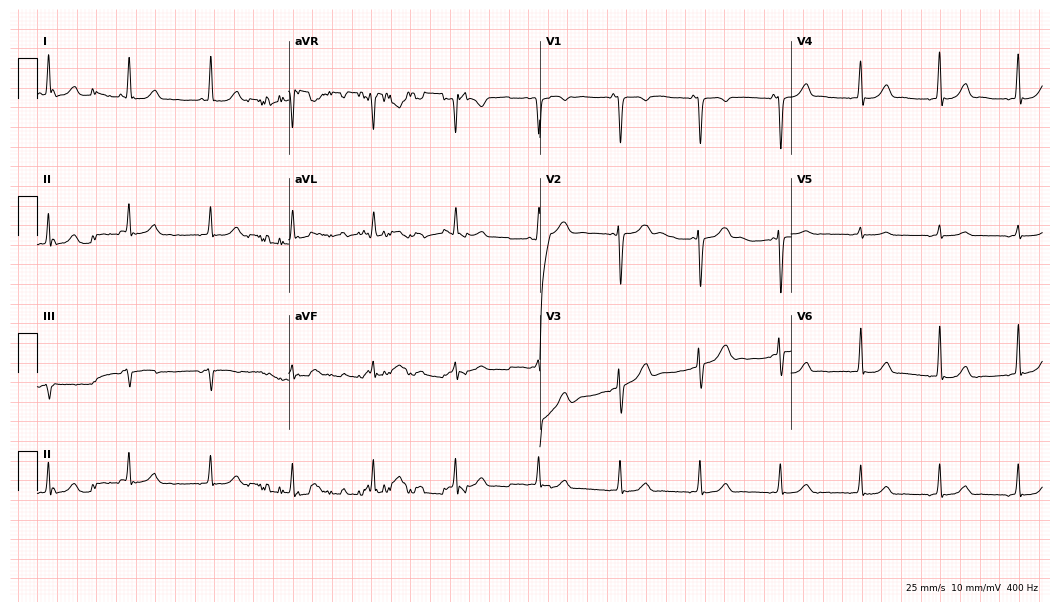
12-lead ECG from a 30-year-old female (10.2-second recording at 400 Hz). No first-degree AV block, right bundle branch block, left bundle branch block, sinus bradycardia, atrial fibrillation or sinus tachycardia recorded for this tracing. Only these six findings were labelled.